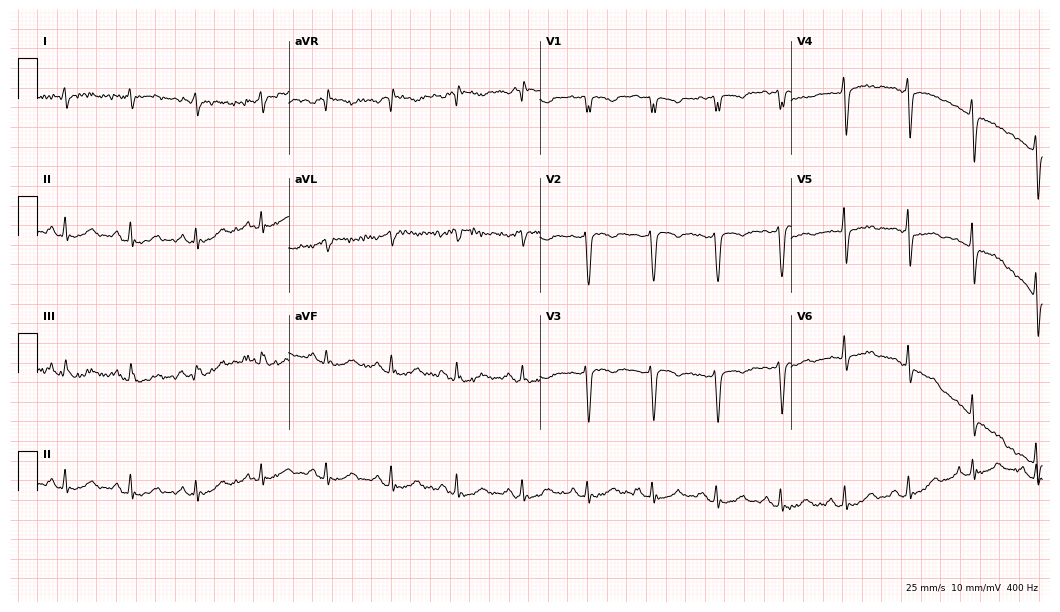
Resting 12-lead electrocardiogram. Patient: a 72-year-old man. None of these six findings is recorded: first-degree AV block, right bundle branch block, left bundle branch block, sinus bradycardia, atrial fibrillation, sinus tachycardia. Only these six findings were labelled.